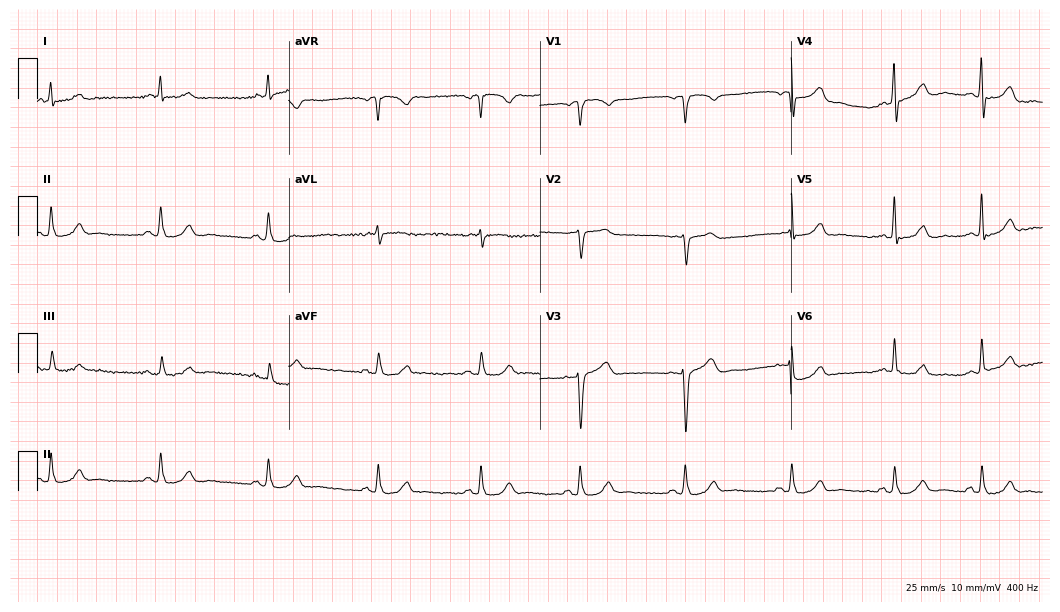
12-lead ECG from a 59-year-old man. Labelled as a normal ECG.